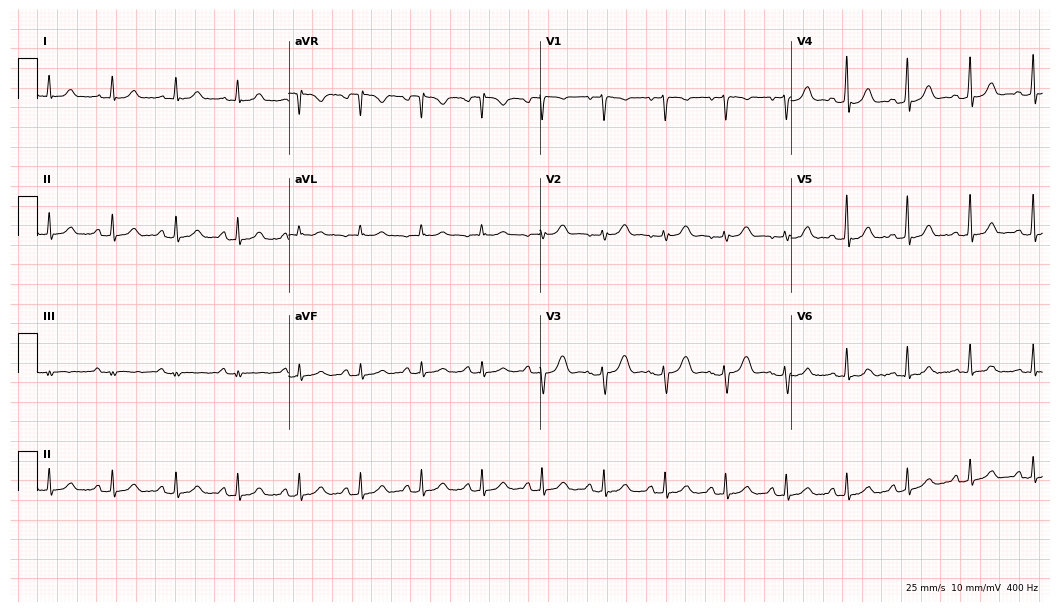
12-lead ECG from a 21-year-old female patient (10.2-second recording at 400 Hz). Recorded interpretation: within normal limits.